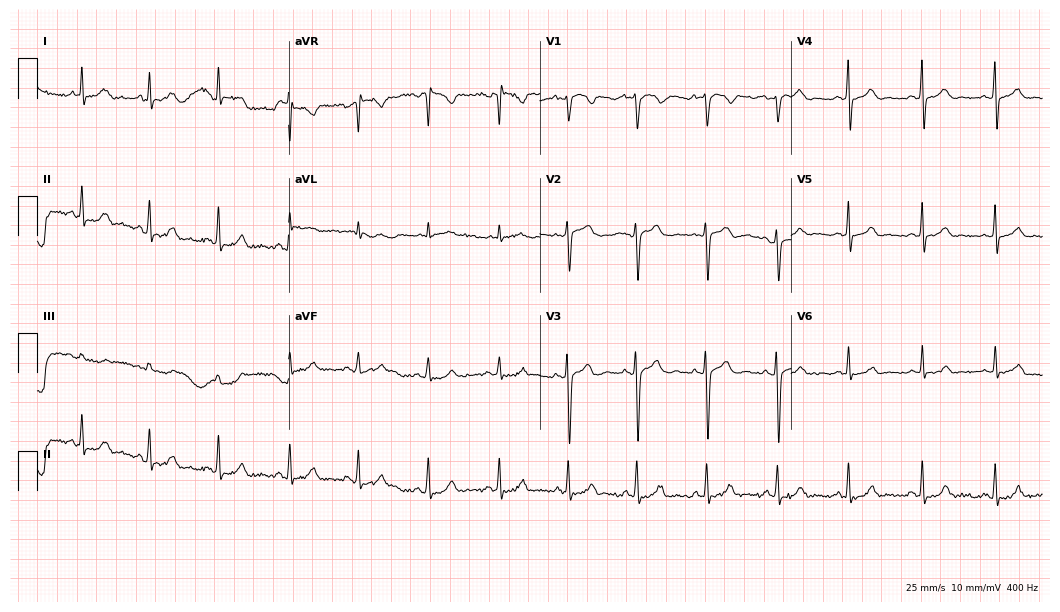
ECG (10.2-second recording at 400 Hz) — a female, 22 years old. Screened for six findings — first-degree AV block, right bundle branch block, left bundle branch block, sinus bradycardia, atrial fibrillation, sinus tachycardia — none is recorded. Other findings, if any, are not listed.